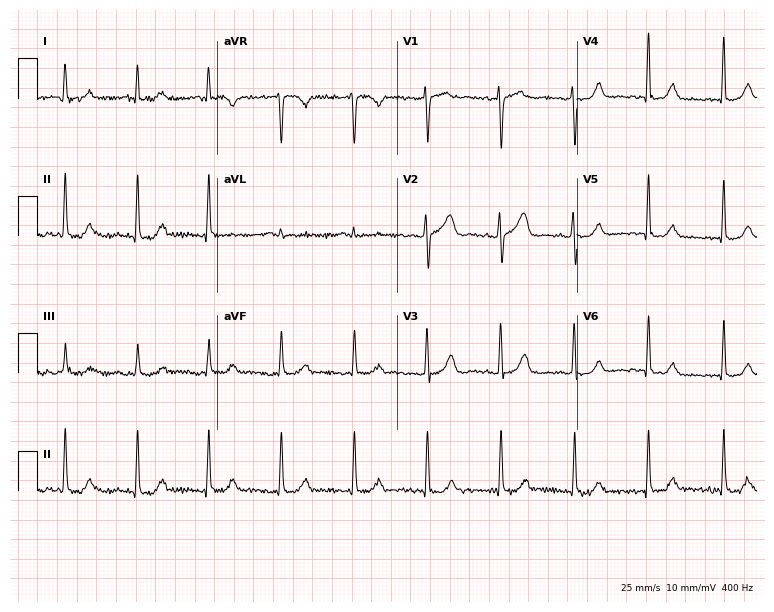
Electrocardiogram (7.3-second recording at 400 Hz), a 54-year-old woman. Overall reading on record: normal ECG.